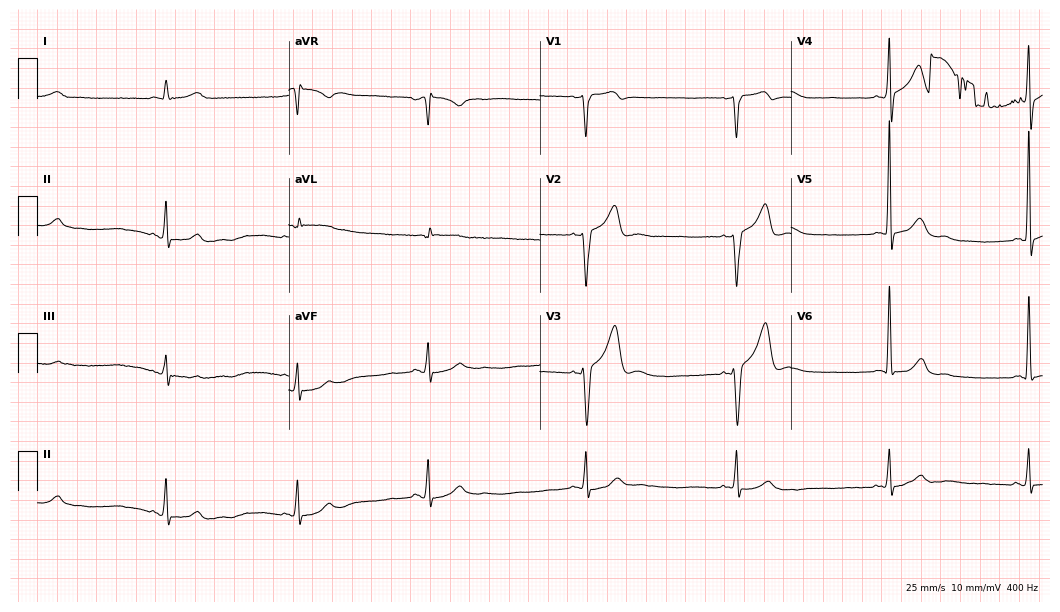
Standard 12-lead ECG recorded from a 58-year-old man (10.2-second recording at 400 Hz). The tracing shows sinus bradycardia (a sinus rate of 50 beats per minute or less).